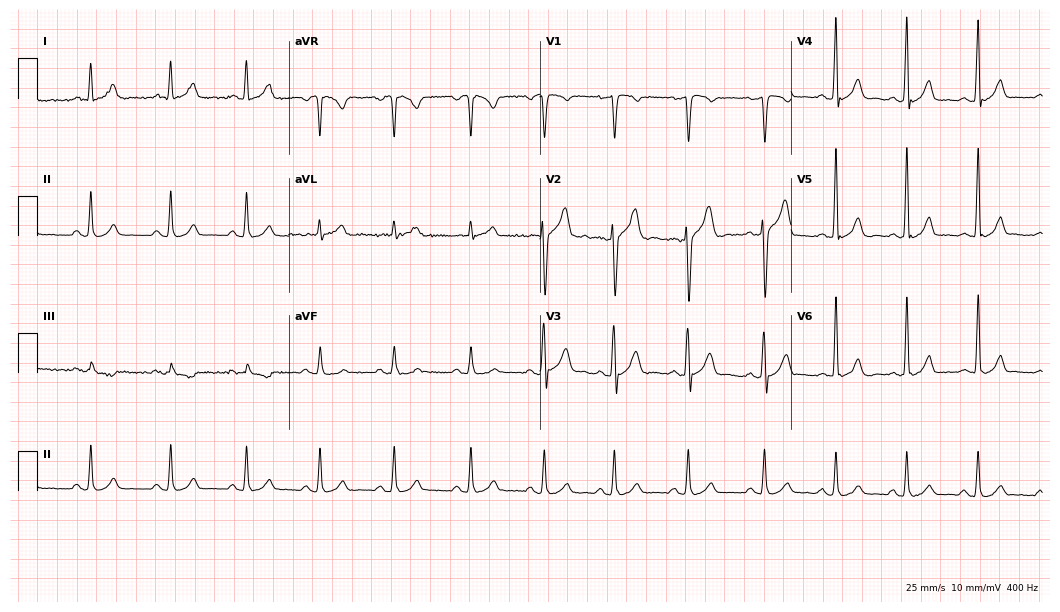
Resting 12-lead electrocardiogram. Patient: a 24-year-old male. Read as a normal ECG.